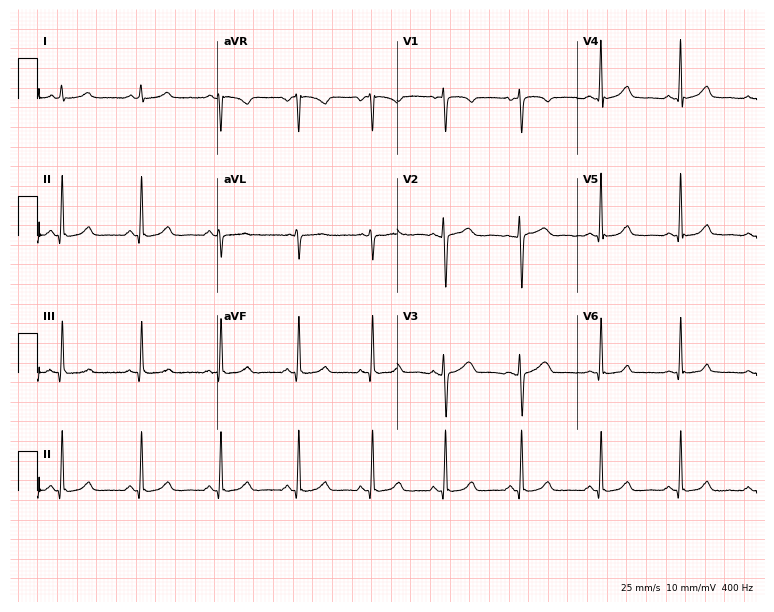
Resting 12-lead electrocardiogram. Patient: a 36-year-old female. Read as a normal ECG.